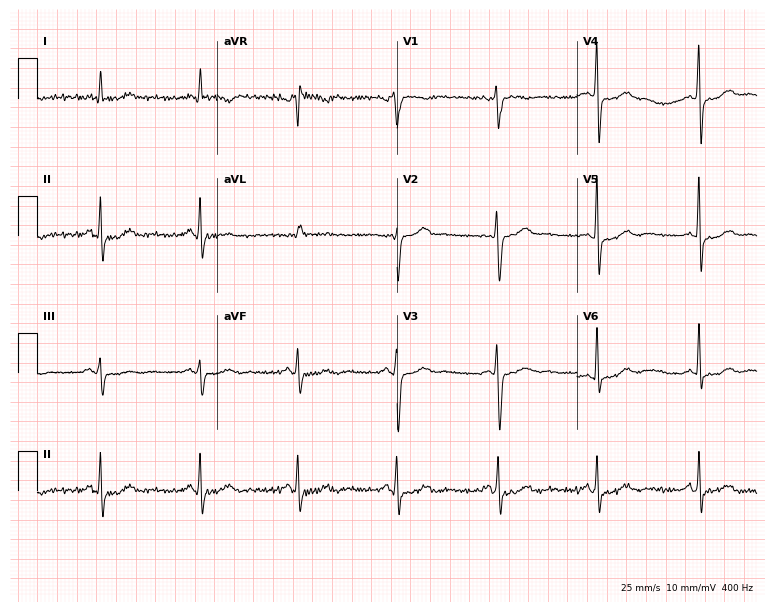
12-lead ECG from a 75-year-old man (7.3-second recording at 400 Hz). Recorded interpretation: within normal limits.